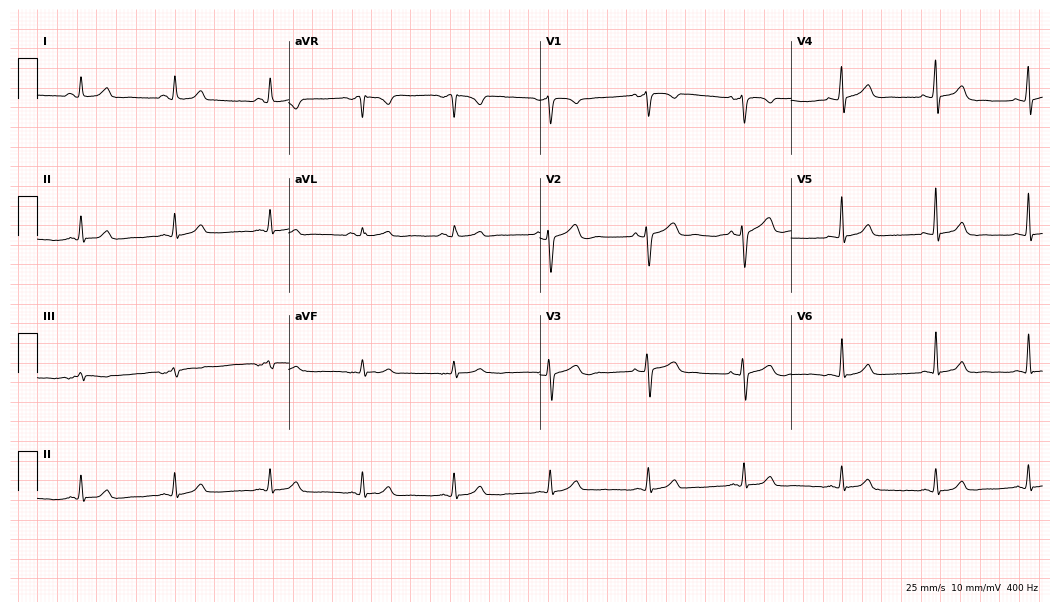
Resting 12-lead electrocardiogram (10.2-second recording at 400 Hz). Patient: a female, 52 years old. Read as a normal ECG.